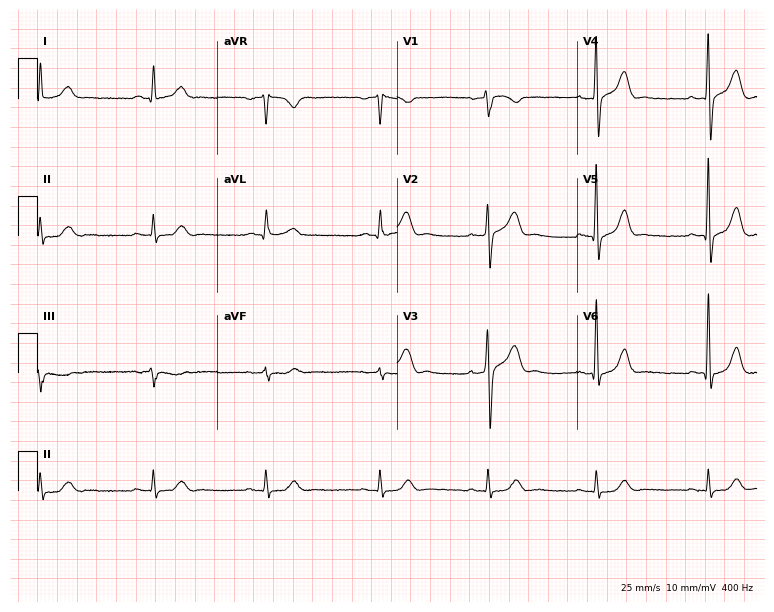
Electrocardiogram, a male patient, 51 years old. Overall reading on record: normal ECG.